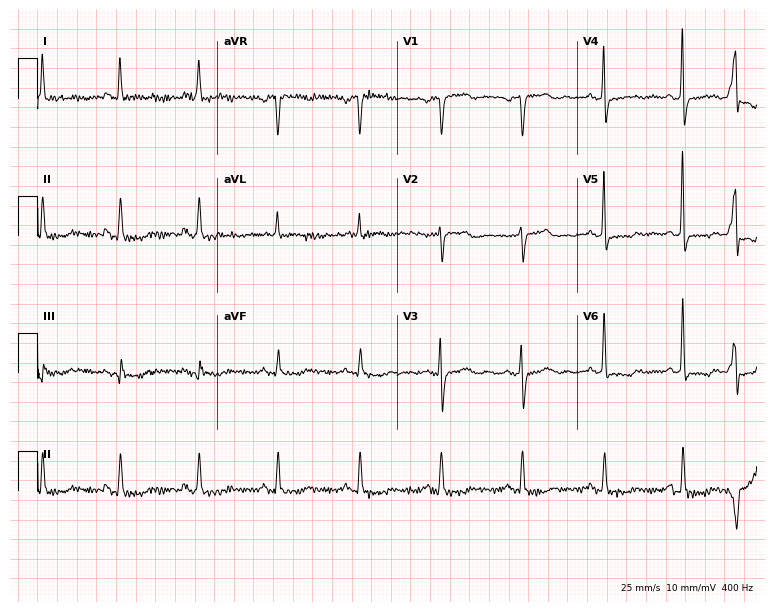
ECG (7.3-second recording at 400 Hz) — a female, 71 years old. Screened for six findings — first-degree AV block, right bundle branch block, left bundle branch block, sinus bradycardia, atrial fibrillation, sinus tachycardia — none is recorded.